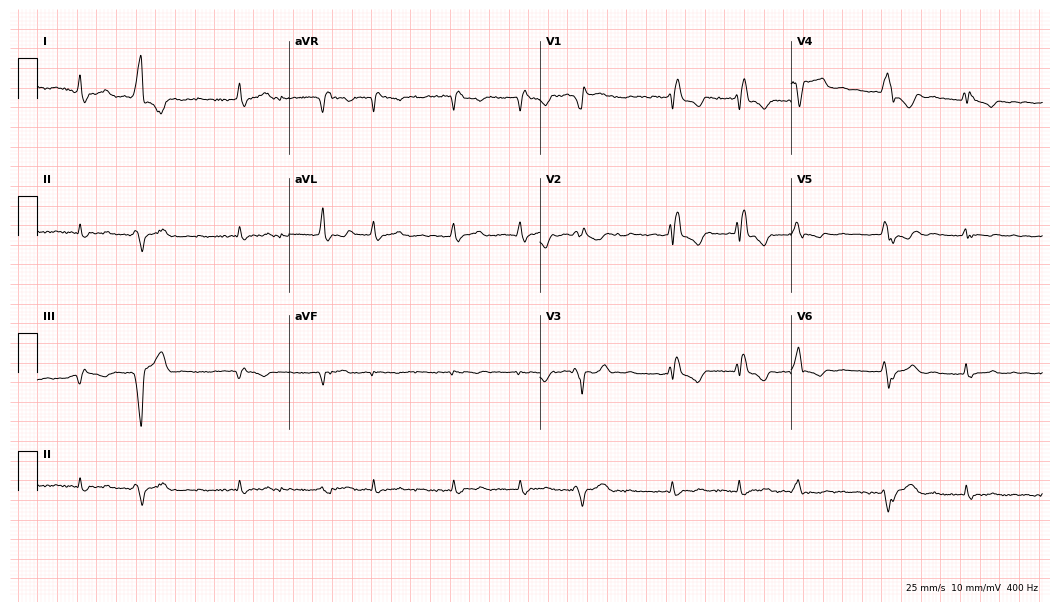
Standard 12-lead ECG recorded from a 56-year-old female (10.2-second recording at 400 Hz). The tracing shows right bundle branch block (RBBB), atrial fibrillation (AF).